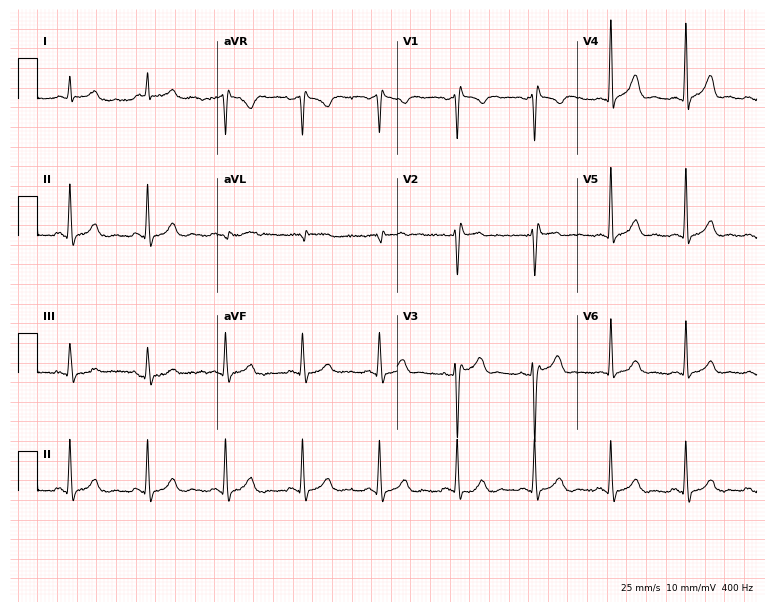
12-lead ECG from a 42-year-old male patient (7.3-second recording at 400 Hz). No first-degree AV block, right bundle branch block, left bundle branch block, sinus bradycardia, atrial fibrillation or sinus tachycardia recorded for this tracing. Other findings, if any, are not listed.